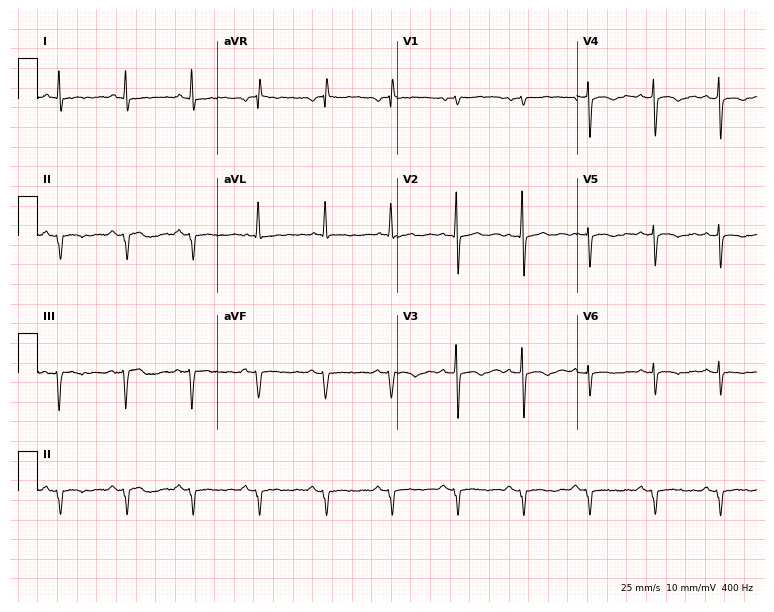
Electrocardiogram, a man, 65 years old. Of the six screened findings (first-degree AV block, right bundle branch block, left bundle branch block, sinus bradycardia, atrial fibrillation, sinus tachycardia), none is recorded.